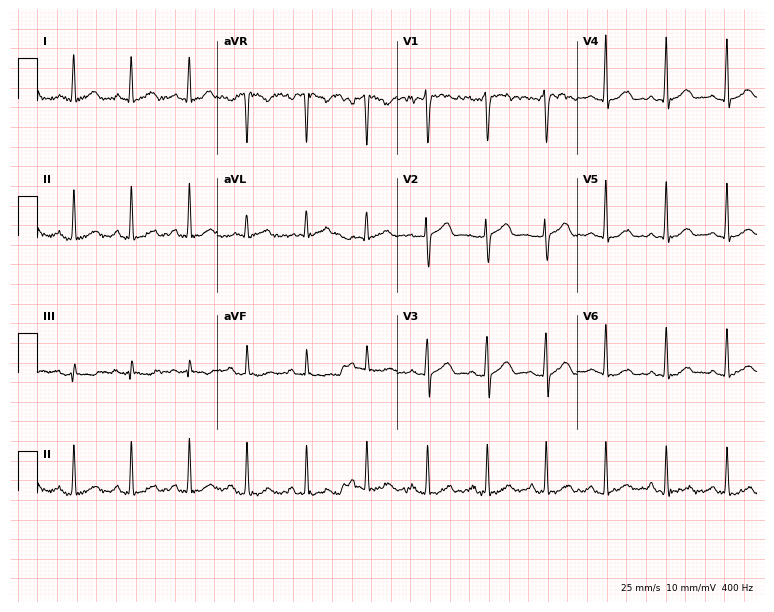
ECG (7.3-second recording at 400 Hz) — a female, 43 years old. Labelled as a normal ECG.